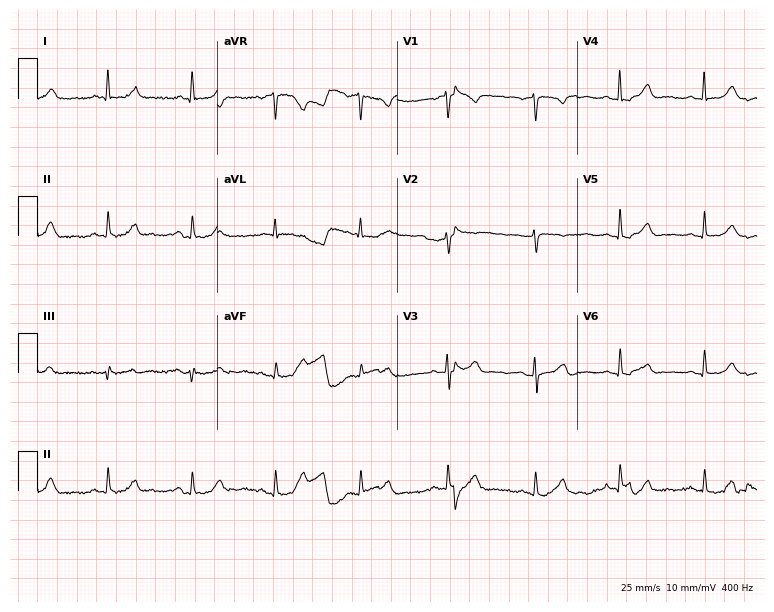
12-lead ECG from a female patient, 57 years old (7.3-second recording at 400 Hz). Recorded interpretation: within normal limits.